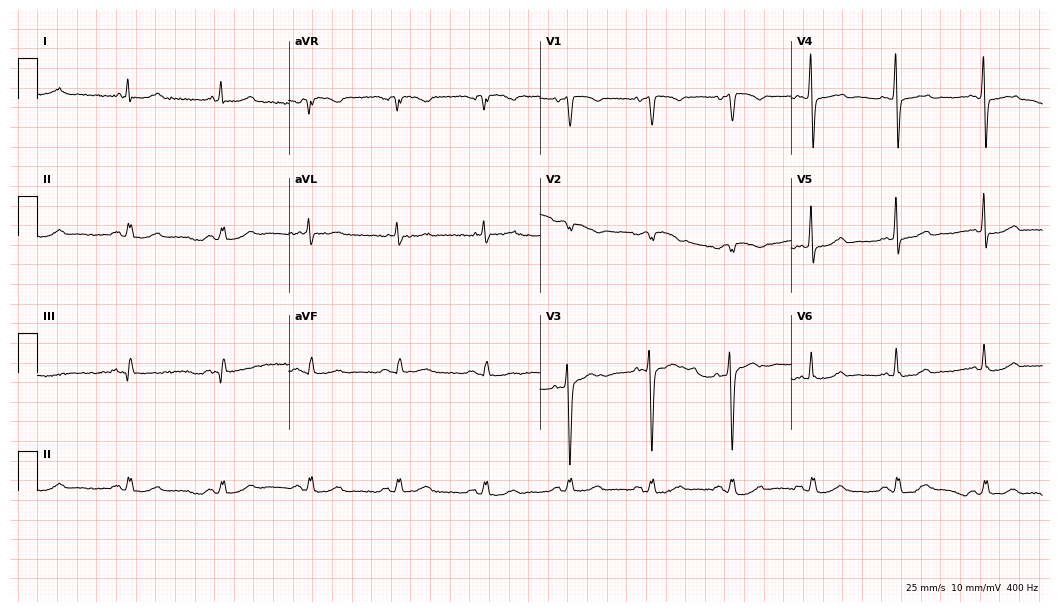
Resting 12-lead electrocardiogram. Patient: a male, 76 years old. Read as a normal ECG.